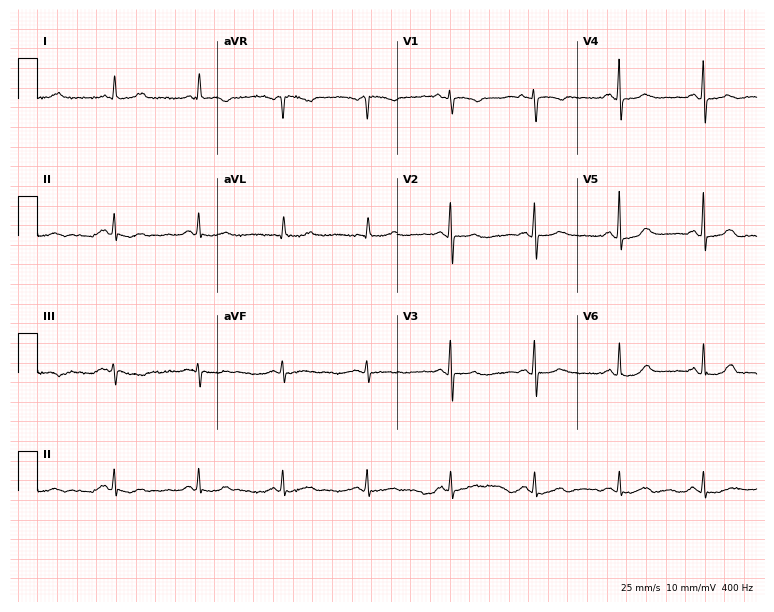
12-lead ECG from an 84-year-old woman (7.3-second recording at 400 Hz). No first-degree AV block, right bundle branch block (RBBB), left bundle branch block (LBBB), sinus bradycardia, atrial fibrillation (AF) or sinus tachycardia recorded for this tracing.